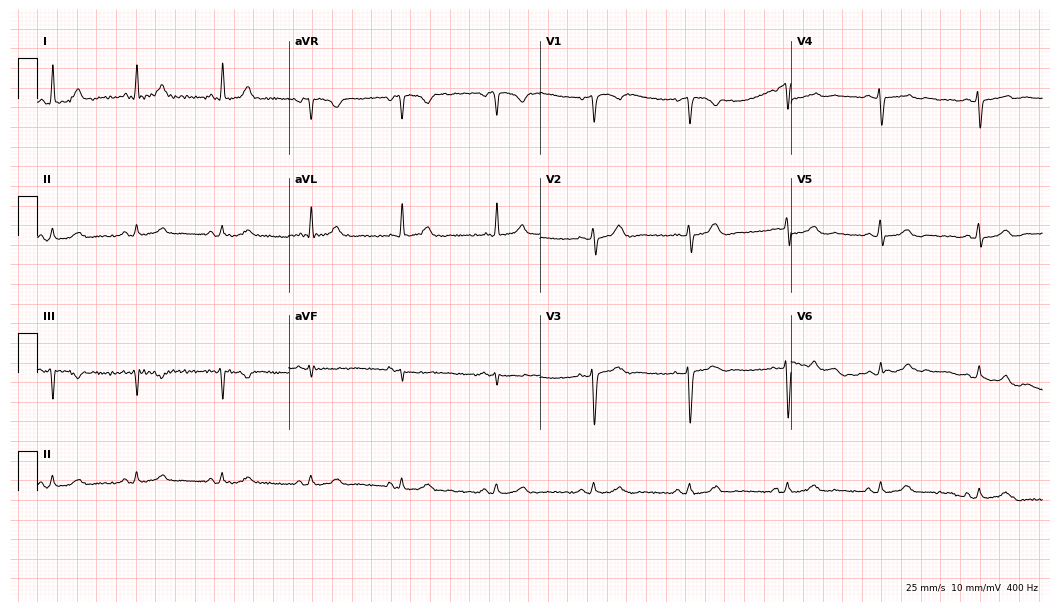
Resting 12-lead electrocardiogram (10.2-second recording at 400 Hz). Patient: a female, 50 years old. Read as a normal ECG.